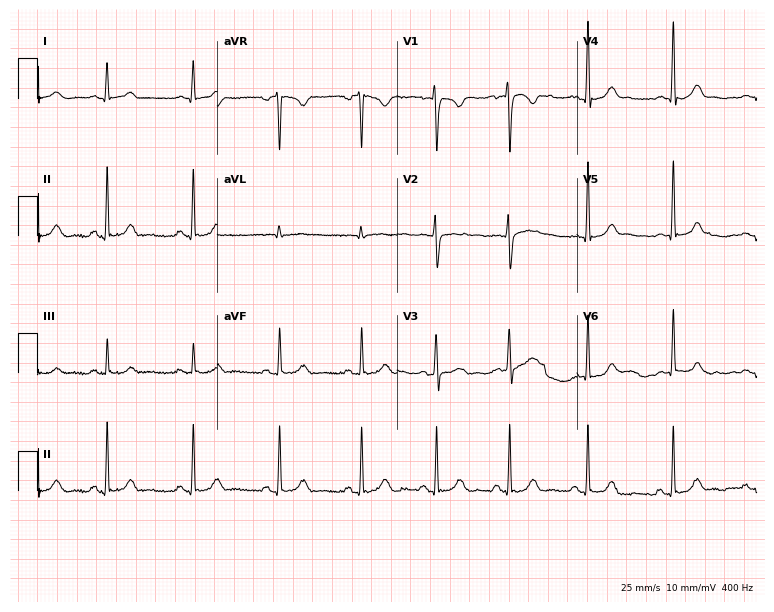
12-lead ECG from a 22-year-old female patient. Screened for six findings — first-degree AV block, right bundle branch block (RBBB), left bundle branch block (LBBB), sinus bradycardia, atrial fibrillation (AF), sinus tachycardia — none is recorded.